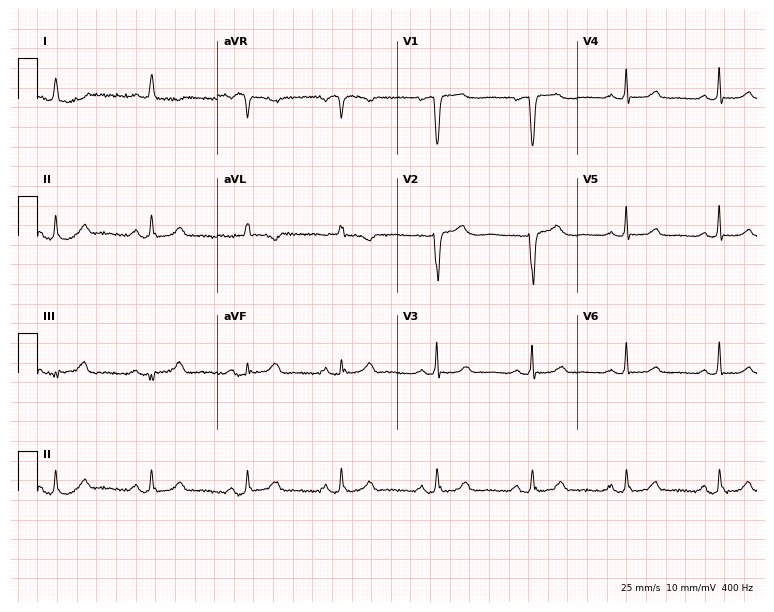
Electrocardiogram (7.3-second recording at 400 Hz), a female patient, 72 years old. Of the six screened findings (first-degree AV block, right bundle branch block (RBBB), left bundle branch block (LBBB), sinus bradycardia, atrial fibrillation (AF), sinus tachycardia), none is recorded. Only these six findings were labelled.